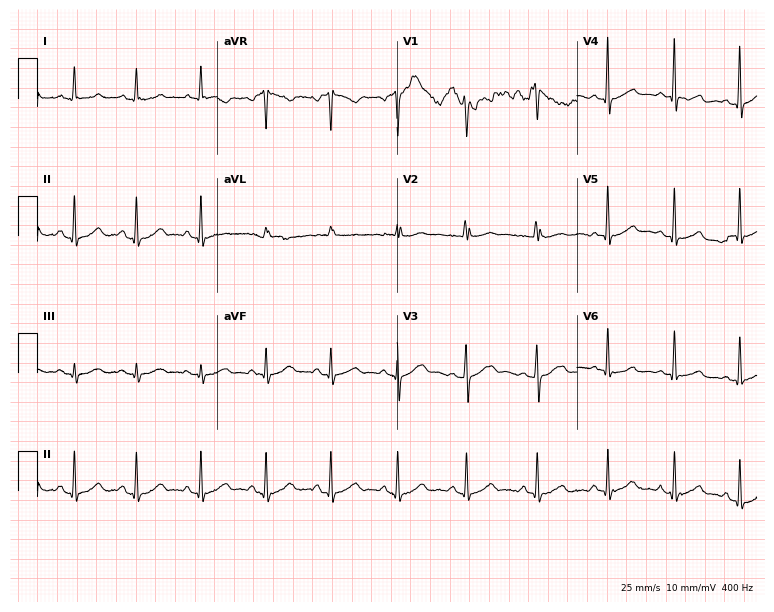
12-lead ECG (7.3-second recording at 400 Hz) from a female, 28 years old. Labelled as a normal ECG.